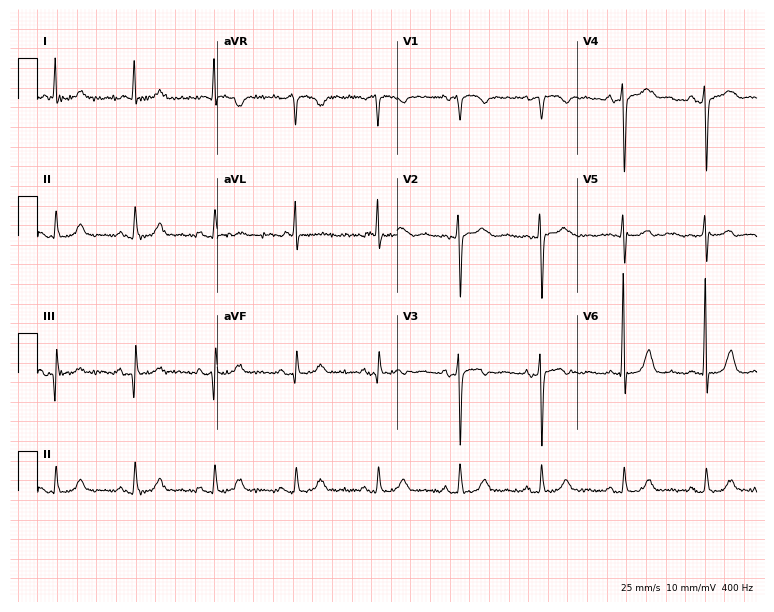
Resting 12-lead electrocardiogram (7.3-second recording at 400 Hz). Patient: an 80-year-old female. Read as a normal ECG.